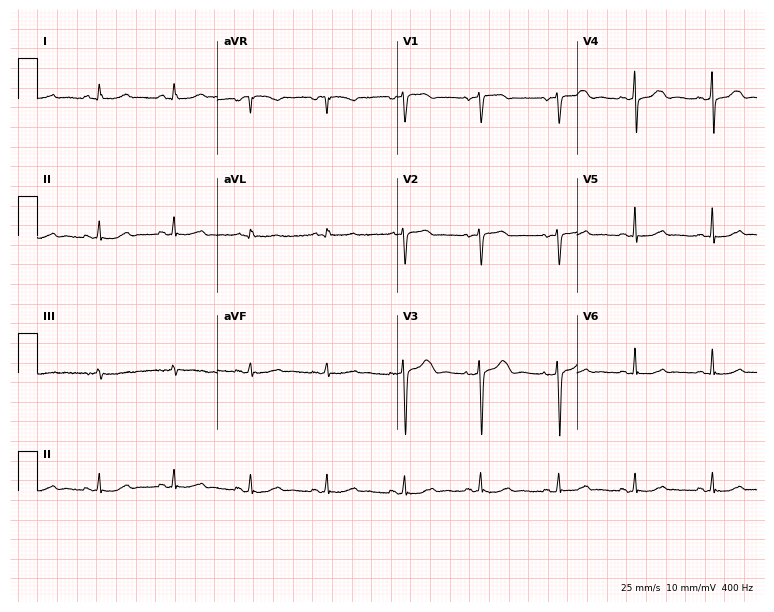
ECG — a female, 50 years old. Labelled as a normal ECG.